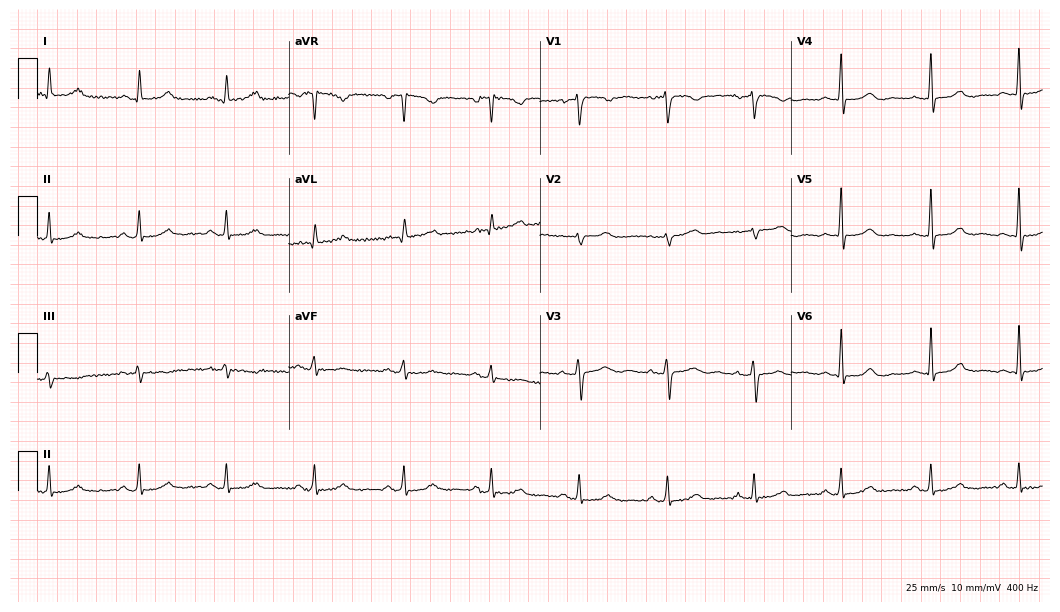
ECG — a 50-year-old female. Labelled as a normal ECG.